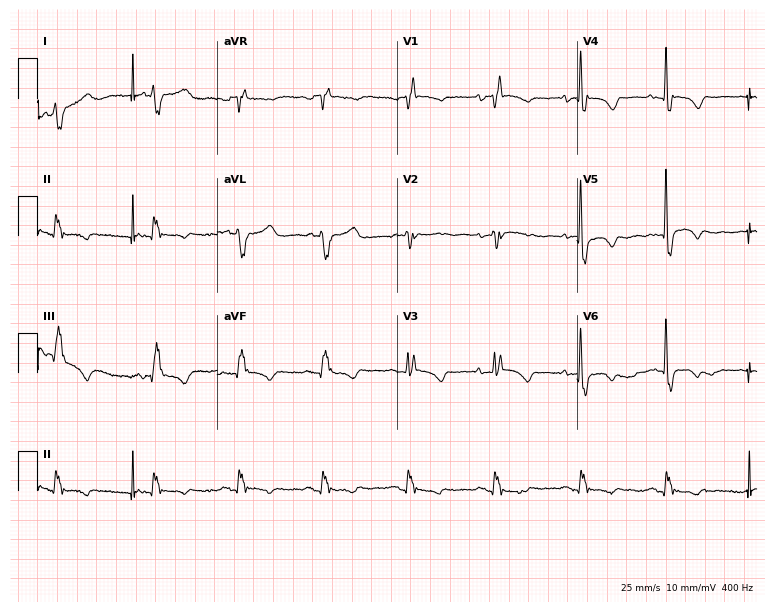
Resting 12-lead electrocardiogram (7.3-second recording at 400 Hz). Patient: a woman, 58 years old. None of these six findings is recorded: first-degree AV block, right bundle branch block, left bundle branch block, sinus bradycardia, atrial fibrillation, sinus tachycardia.